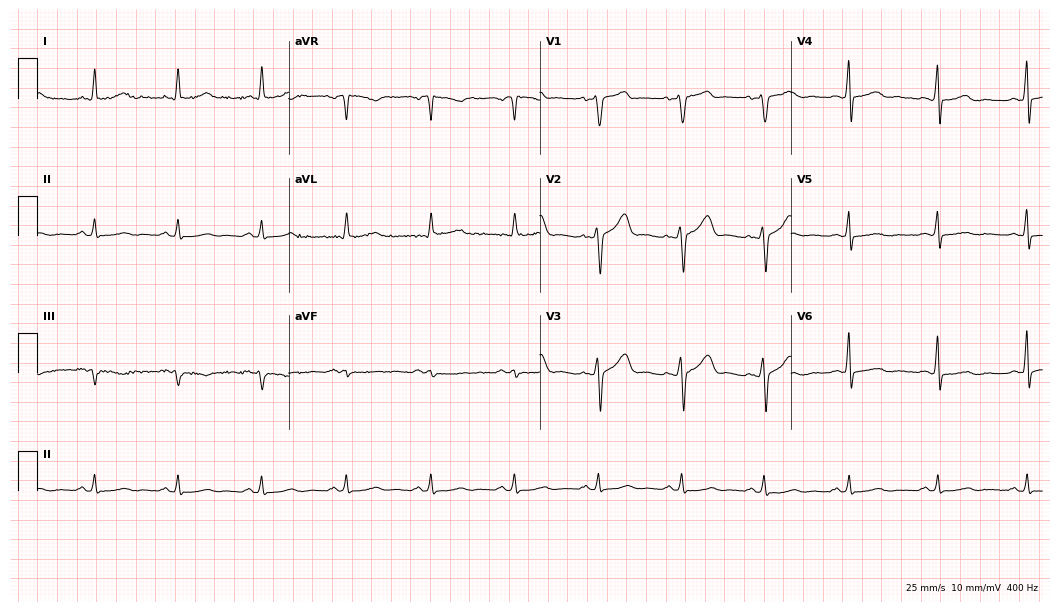
ECG — a female, 73 years old. Screened for six findings — first-degree AV block, right bundle branch block (RBBB), left bundle branch block (LBBB), sinus bradycardia, atrial fibrillation (AF), sinus tachycardia — none is recorded. Only these six findings were labelled.